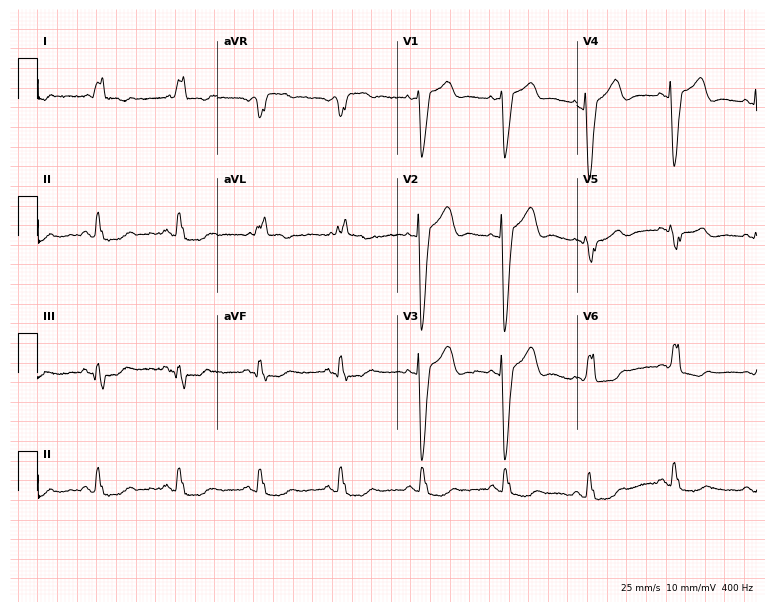
12-lead ECG from a female patient, 84 years old. Shows left bundle branch block.